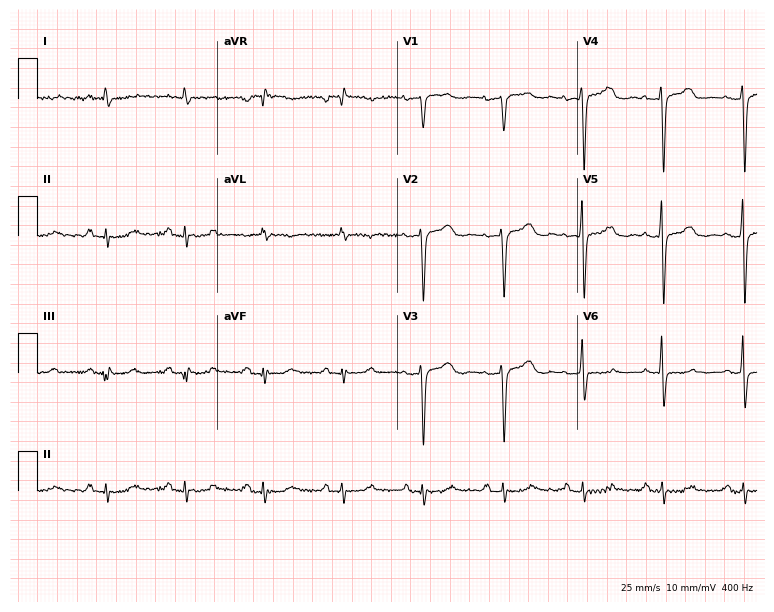
12-lead ECG from an 80-year-old female. No first-degree AV block, right bundle branch block, left bundle branch block, sinus bradycardia, atrial fibrillation or sinus tachycardia recorded for this tracing.